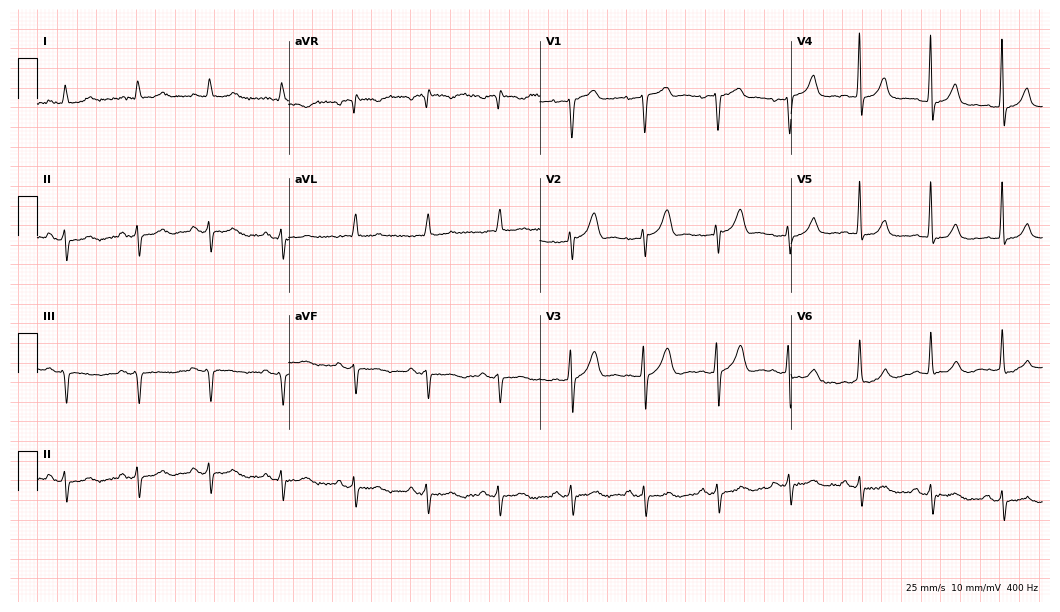
ECG (10.2-second recording at 400 Hz) — a 74-year-old male patient. Screened for six findings — first-degree AV block, right bundle branch block (RBBB), left bundle branch block (LBBB), sinus bradycardia, atrial fibrillation (AF), sinus tachycardia — none is recorded.